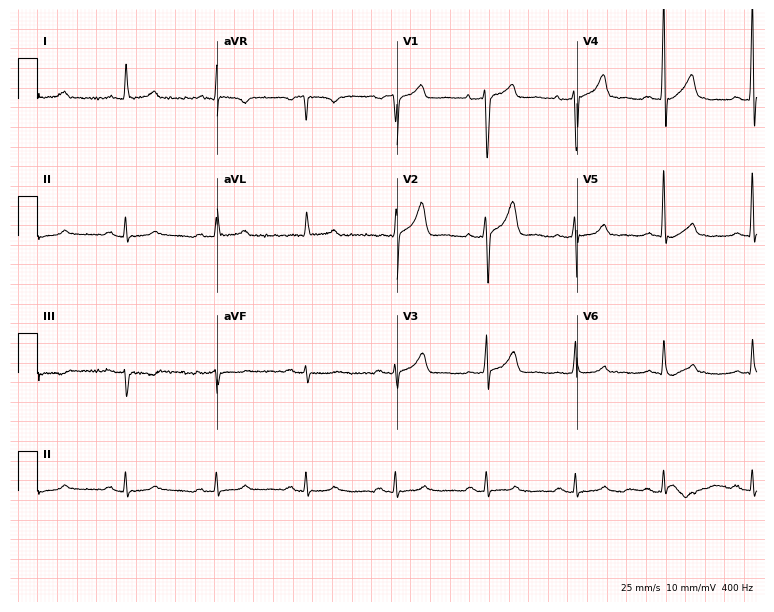
ECG (7.3-second recording at 400 Hz) — a man, 68 years old. Labelled as a normal ECG.